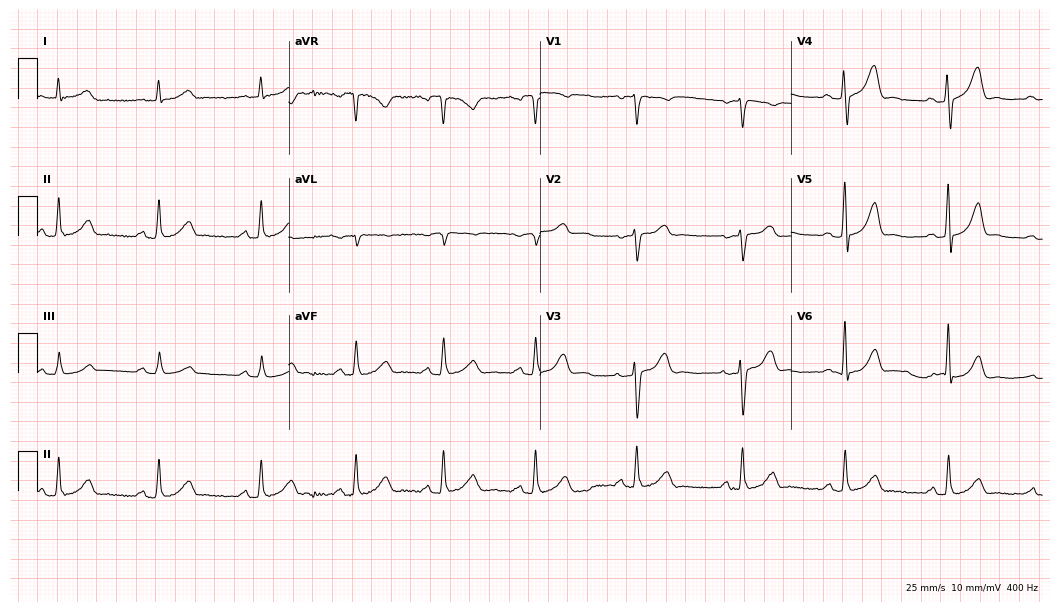
Standard 12-lead ECG recorded from a 47-year-old female (10.2-second recording at 400 Hz). None of these six findings is recorded: first-degree AV block, right bundle branch block, left bundle branch block, sinus bradycardia, atrial fibrillation, sinus tachycardia.